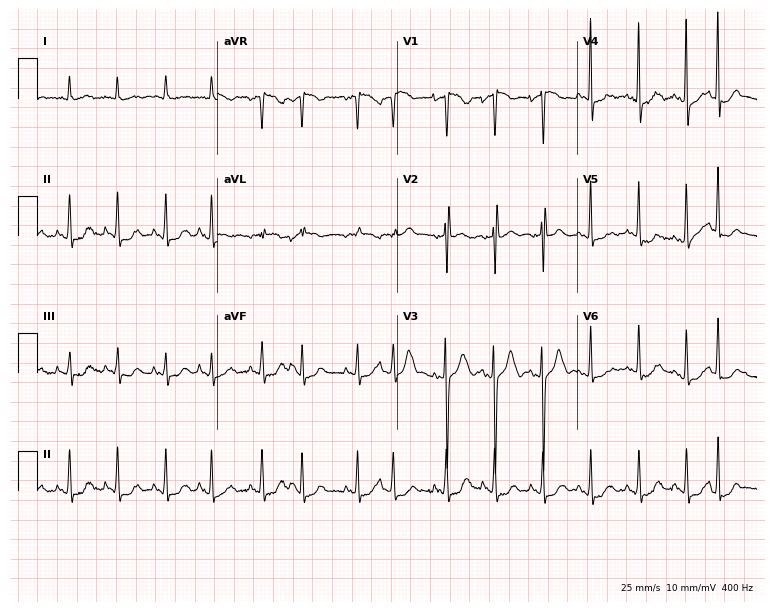
ECG (7.3-second recording at 400 Hz) — a woman, 82 years old. Findings include sinus tachycardia (a sinus rate of 100 beats per minute or more).